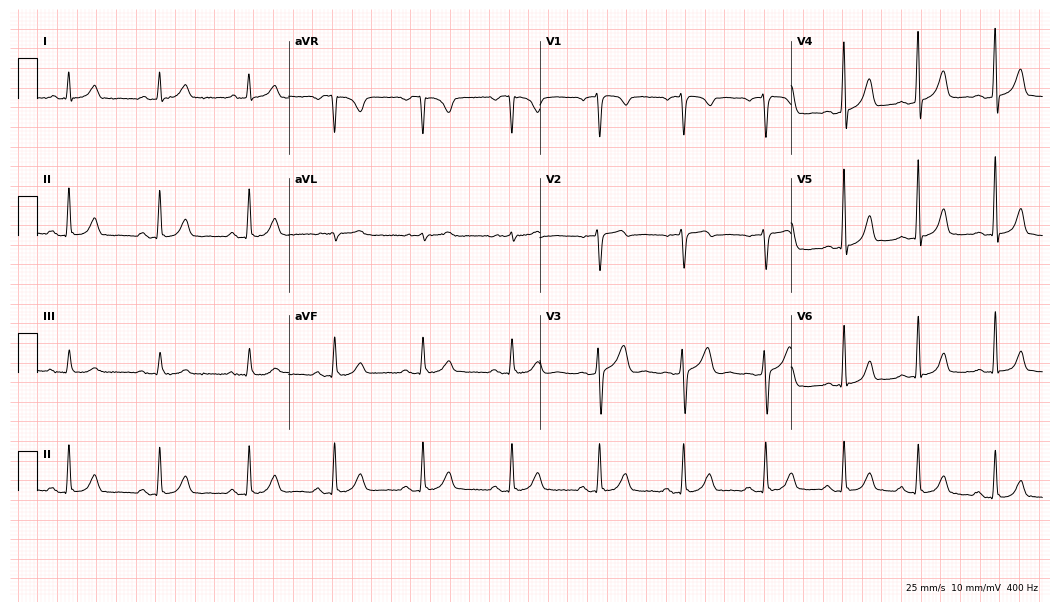
Electrocardiogram, a 59-year-old male. Of the six screened findings (first-degree AV block, right bundle branch block, left bundle branch block, sinus bradycardia, atrial fibrillation, sinus tachycardia), none is recorded.